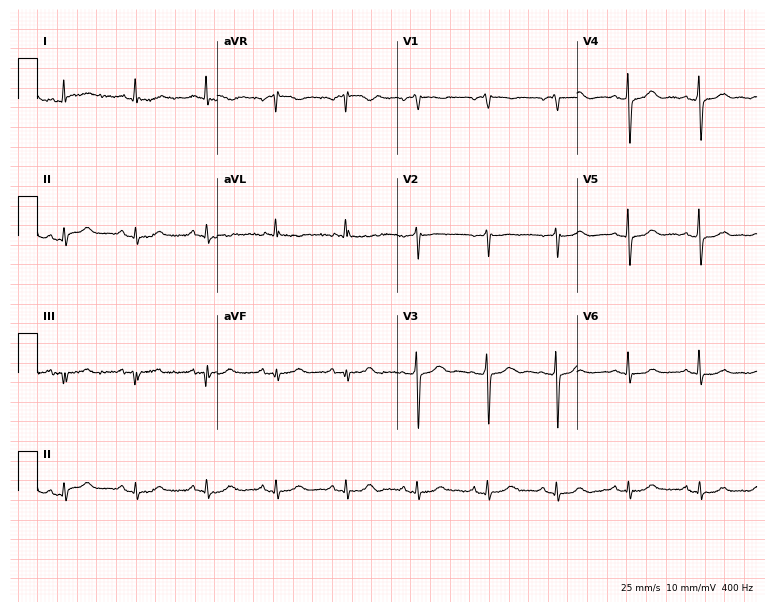
ECG — a 79-year-old female patient. Labelled as a normal ECG.